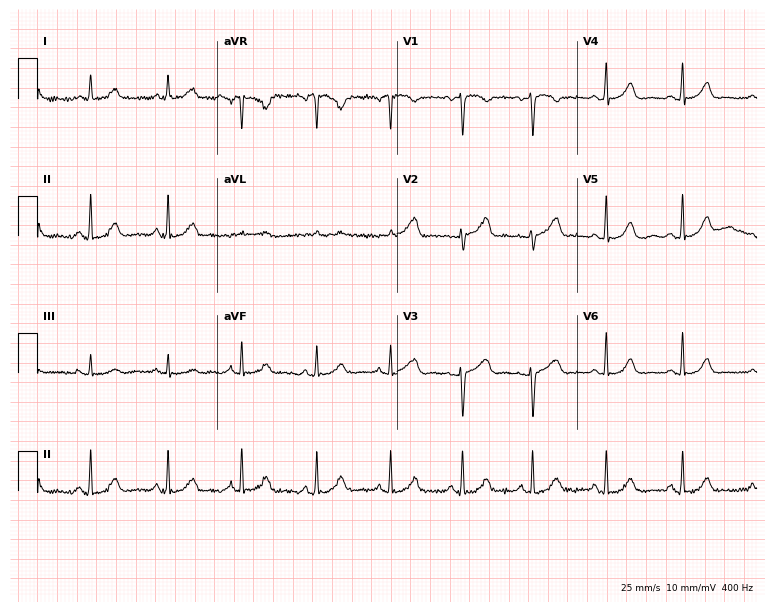
12-lead ECG from a woman, 51 years old (7.3-second recording at 400 Hz). Recorded interpretation: within normal limits.